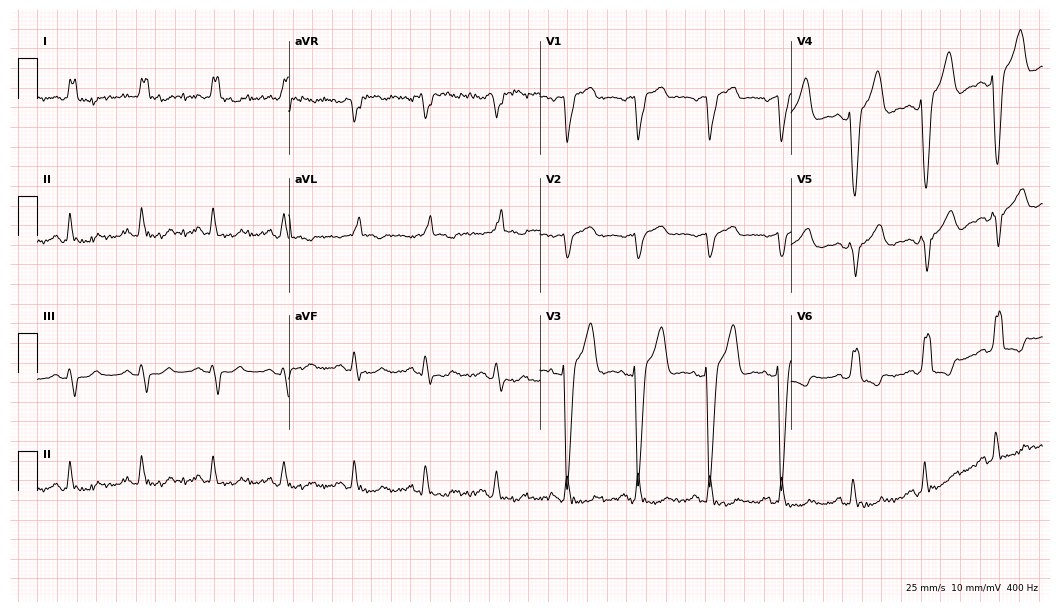
Resting 12-lead electrocardiogram (10.2-second recording at 400 Hz). Patient: an 80-year-old man. The tracing shows left bundle branch block (LBBB).